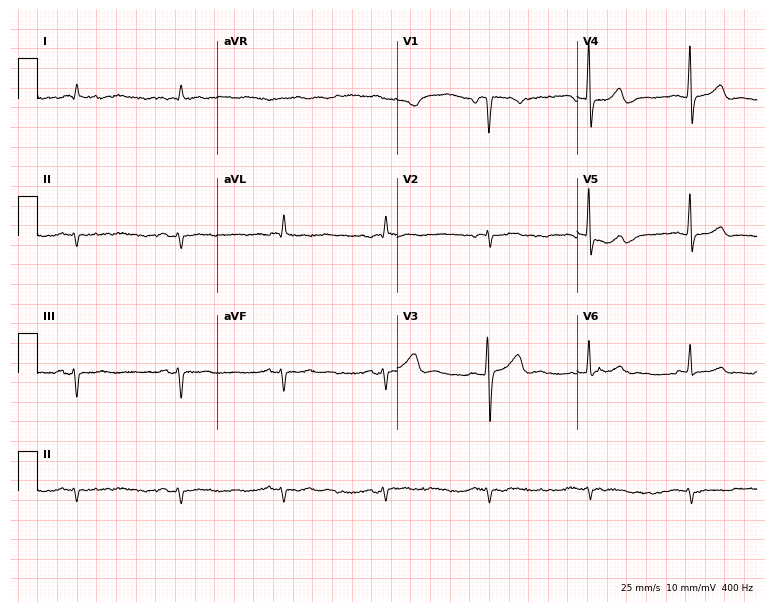
12-lead ECG from a woman, 61 years old (7.3-second recording at 400 Hz). No first-degree AV block, right bundle branch block, left bundle branch block, sinus bradycardia, atrial fibrillation or sinus tachycardia recorded for this tracing.